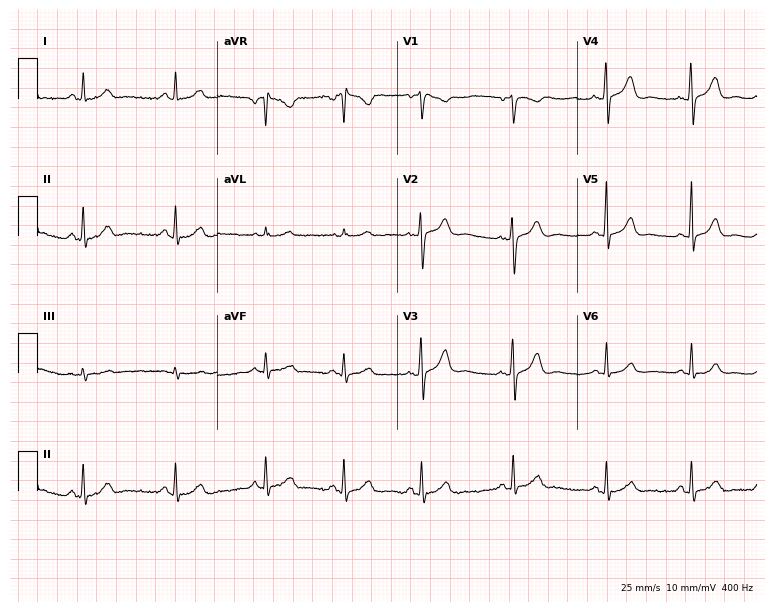
ECG (7.3-second recording at 400 Hz) — a female, 34 years old. Labelled as a normal ECG.